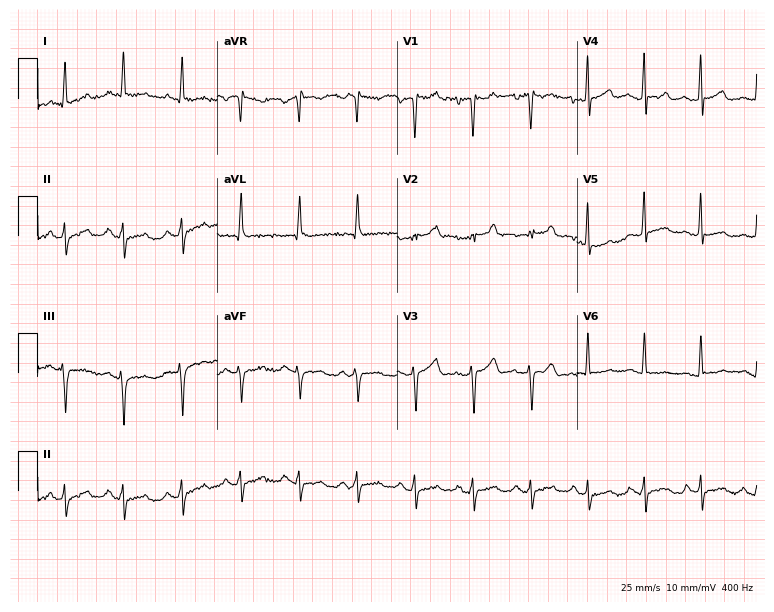
12-lead ECG from a male, 48 years old. Findings include sinus tachycardia (a sinus rate of 100 beats per minute or more).